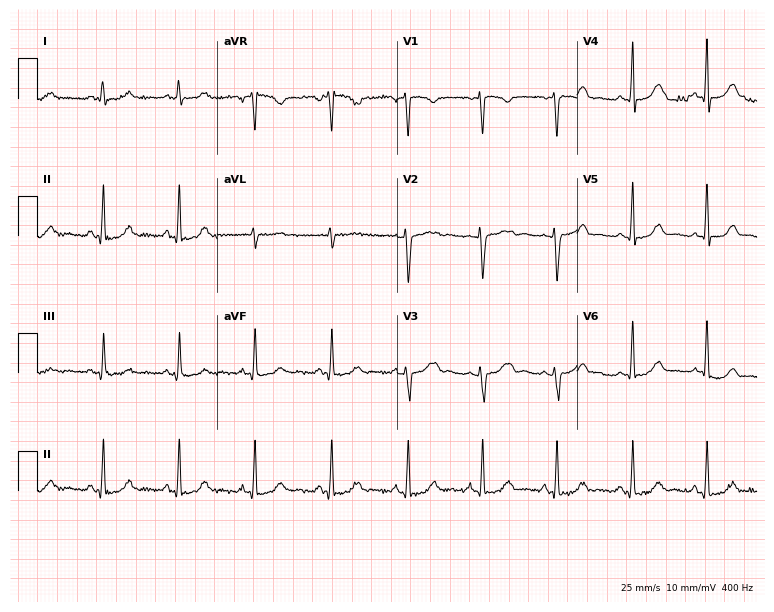
12-lead ECG from a female, 46 years old. Recorded interpretation: within normal limits.